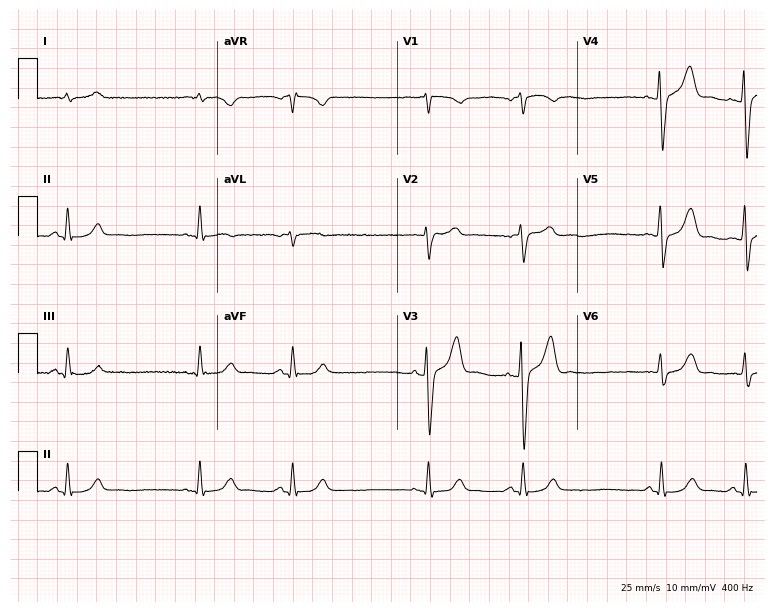
12-lead ECG (7.3-second recording at 400 Hz) from a male, 64 years old. Screened for six findings — first-degree AV block, right bundle branch block, left bundle branch block, sinus bradycardia, atrial fibrillation, sinus tachycardia — none is recorded.